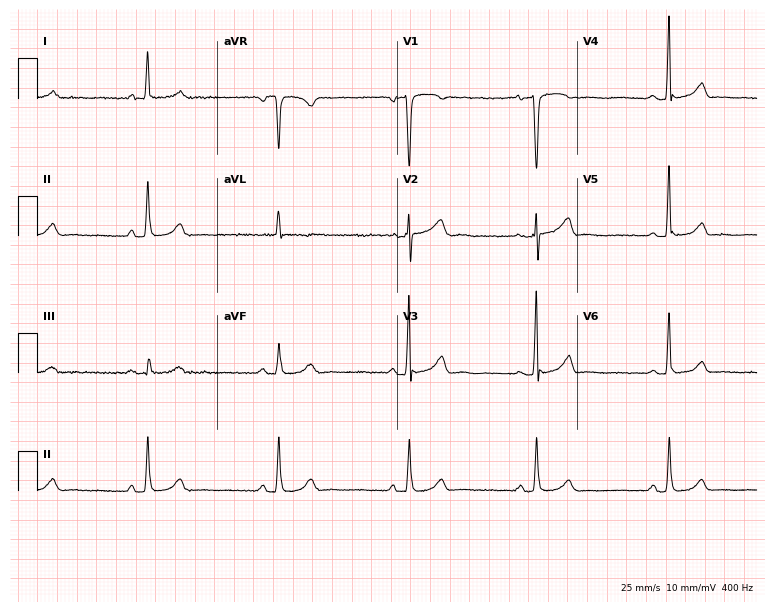
ECG — a woman, 59 years old. Screened for six findings — first-degree AV block, right bundle branch block, left bundle branch block, sinus bradycardia, atrial fibrillation, sinus tachycardia — none is recorded. Findings outside these six are not listed.